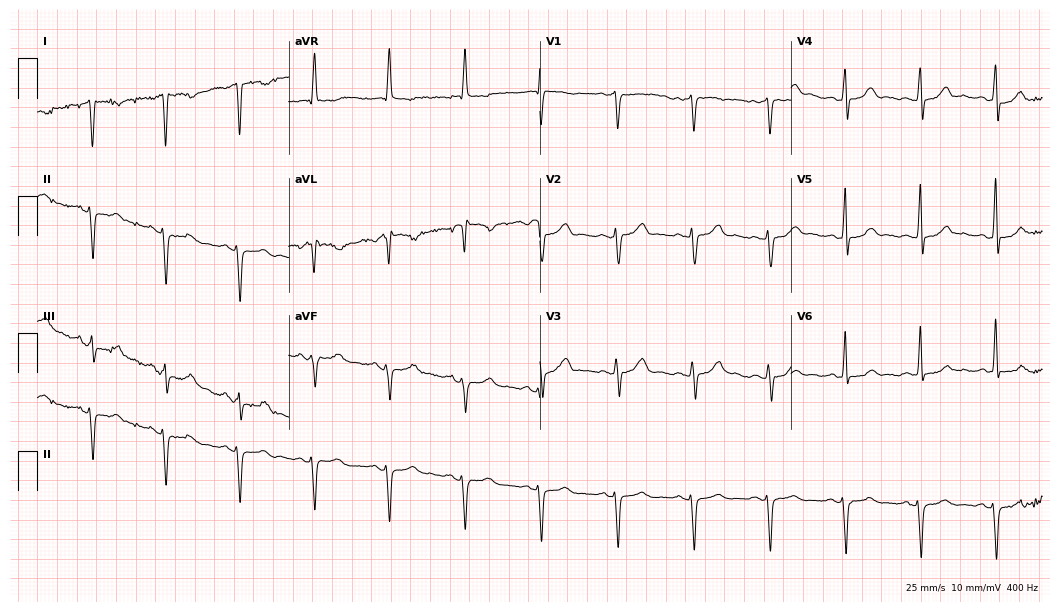
Standard 12-lead ECG recorded from a man, 75 years old (10.2-second recording at 400 Hz). None of these six findings is recorded: first-degree AV block, right bundle branch block (RBBB), left bundle branch block (LBBB), sinus bradycardia, atrial fibrillation (AF), sinus tachycardia.